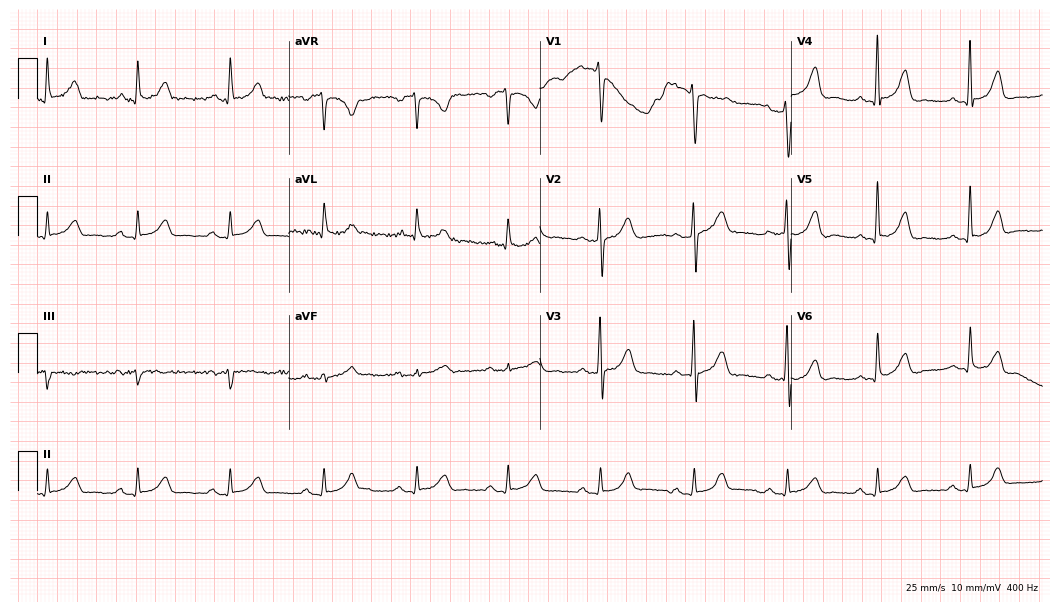
Standard 12-lead ECG recorded from a woman, 59 years old (10.2-second recording at 400 Hz). Read as a normal ECG.